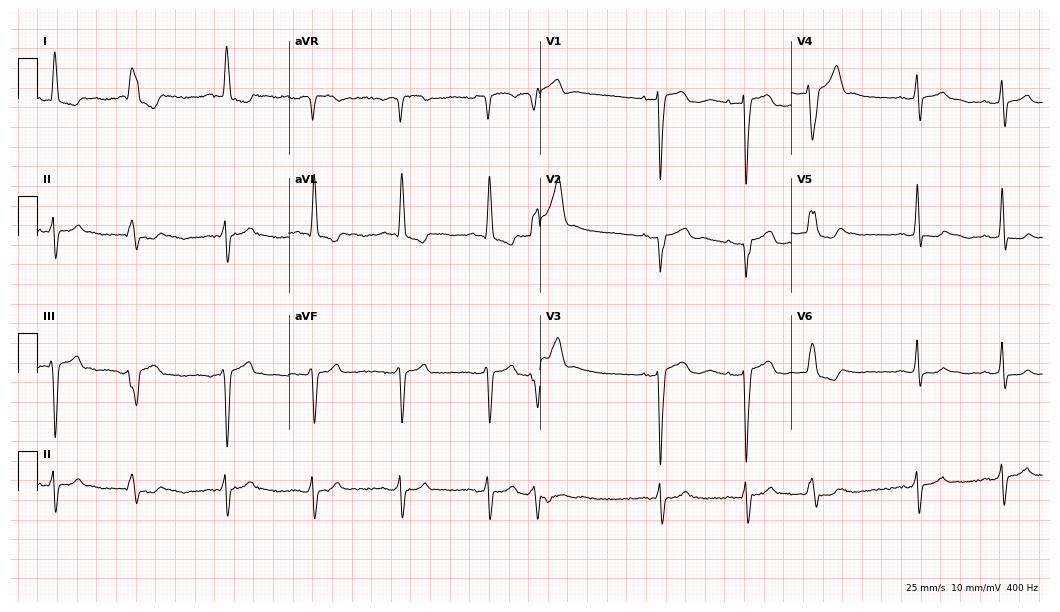
12-lead ECG (10.2-second recording at 400 Hz) from an 81-year-old female patient. Screened for six findings — first-degree AV block, right bundle branch block, left bundle branch block, sinus bradycardia, atrial fibrillation, sinus tachycardia — none is recorded. Only these six findings were labelled.